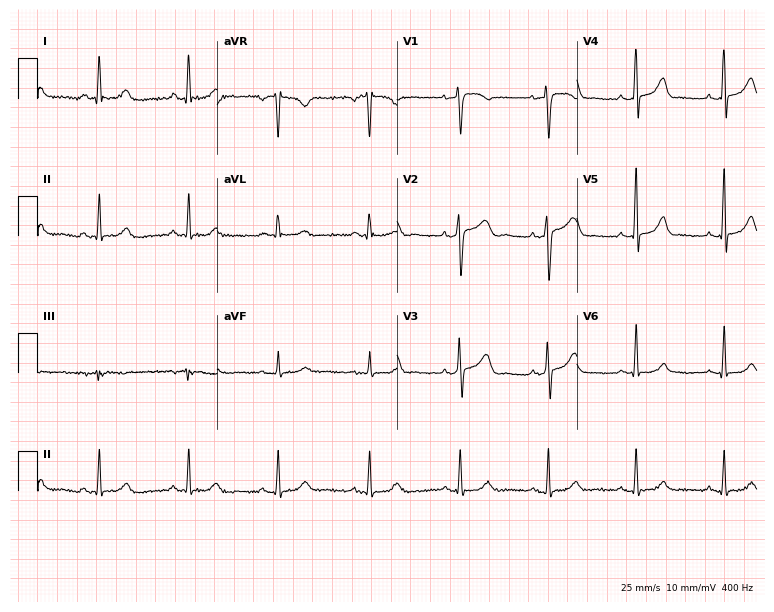
12-lead ECG from a 51-year-old female patient. Recorded interpretation: within normal limits.